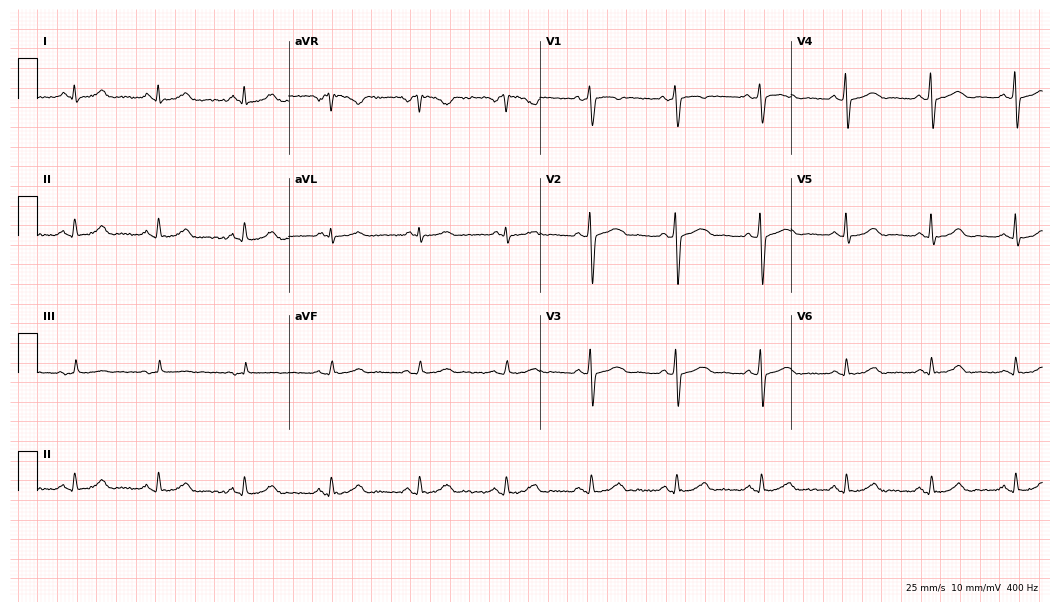
Electrocardiogram, a man, 48 years old. Of the six screened findings (first-degree AV block, right bundle branch block, left bundle branch block, sinus bradycardia, atrial fibrillation, sinus tachycardia), none is recorded.